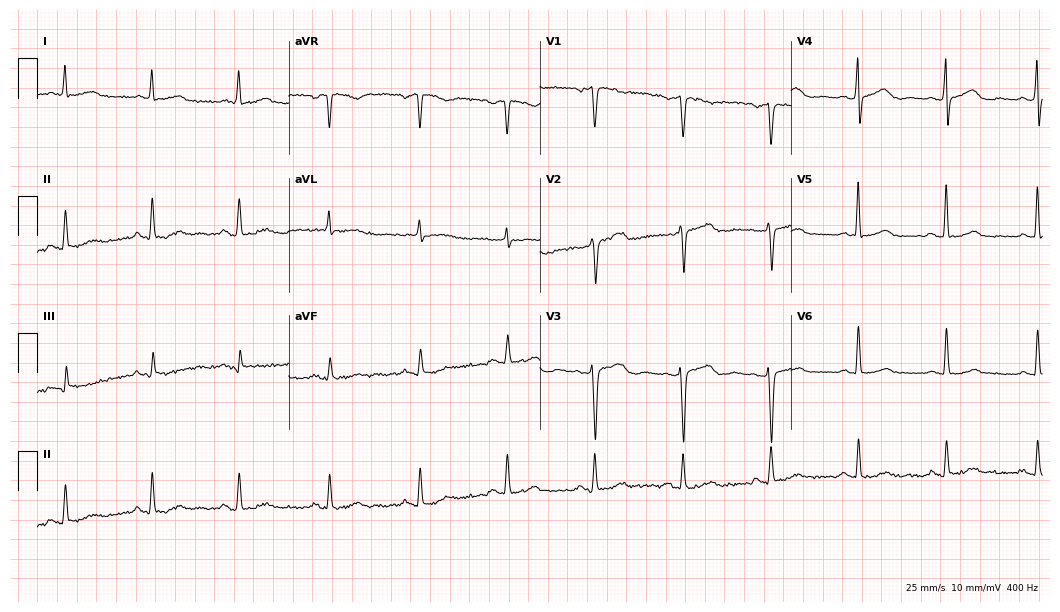
Standard 12-lead ECG recorded from a woman, 78 years old. Read as a normal ECG.